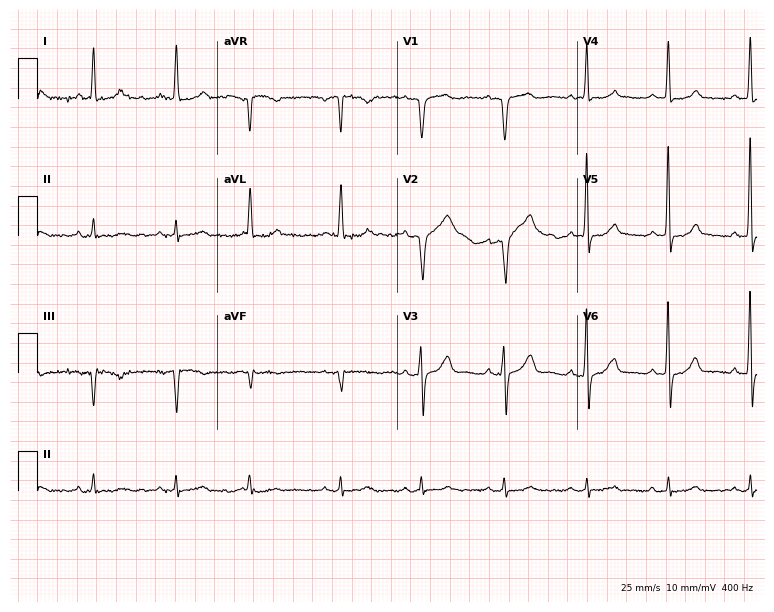
Electrocardiogram (7.3-second recording at 400 Hz), a man, 75 years old. Overall reading on record: normal ECG.